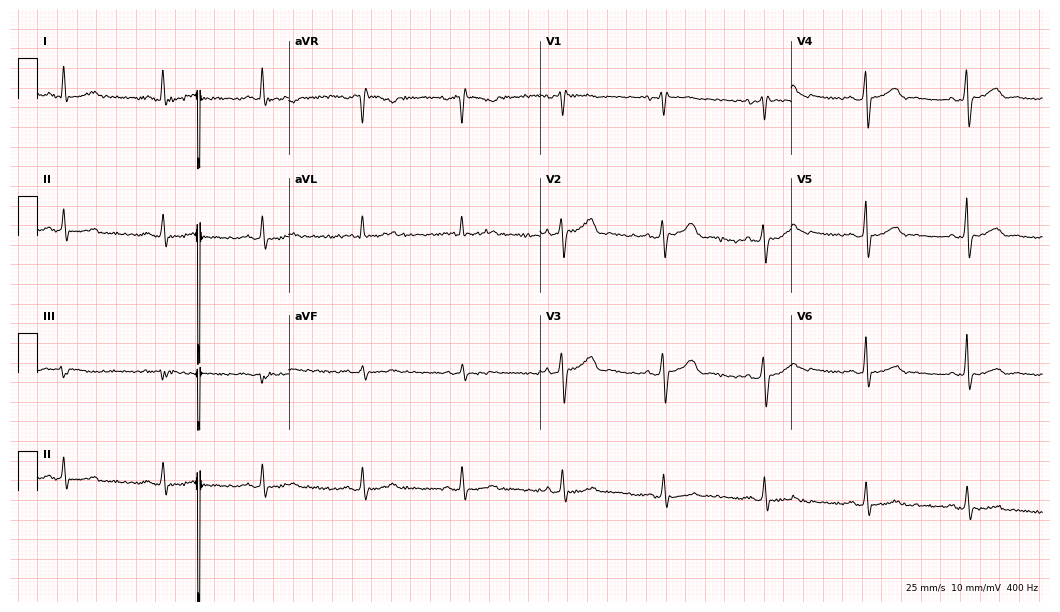
Resting 12-lead electrocardiogram (10.2-second recording at 400 Hz). Patient: a 46-year-old male. None of these six findings is recorded: first-degree AV block, right bundle branch block (RBBB), left bundle branch block (LBBB), sinus bradycardia, atrial fibrillation (AF), sinus tachycardia. Findings outside these six are not listed.